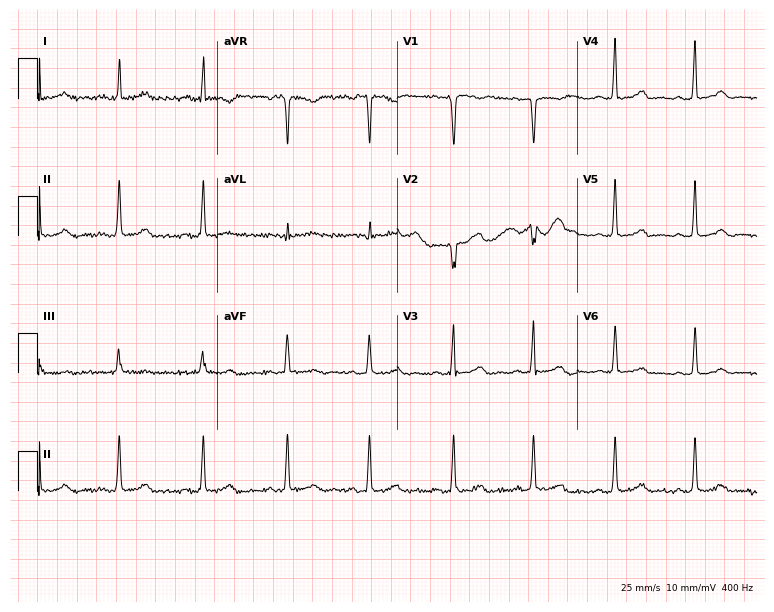
Standard 12-lead ECG recorded from a 38-year-old woman. Read as a normal ECG.